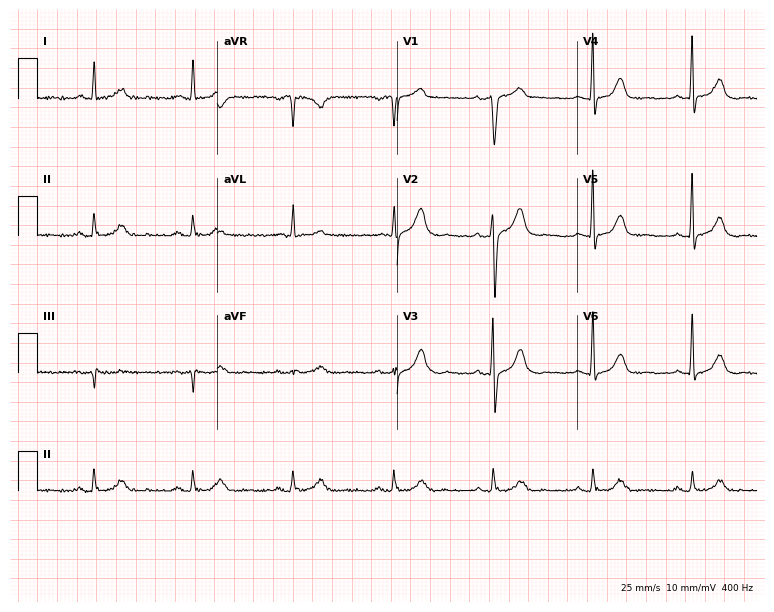
ECG (7.3-second recording at 400 Hz) — a 74-year-old male. Labelled as a normal ECG.